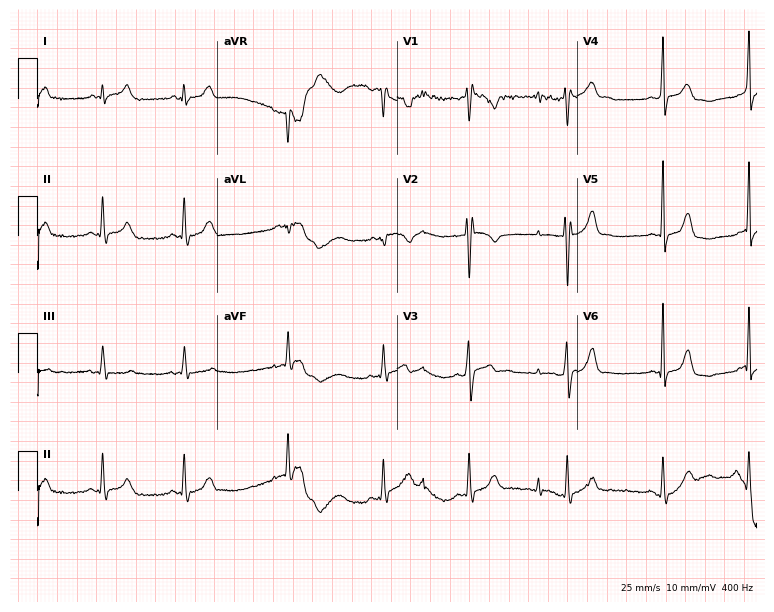
12-lead ECG from a 17-year-old male. Screened for six findings — first-degree AV block, right bundle branch block, left bundle branch block, sinus bradycardia, atrial fibrillation, sinus tachycardia — none is recorded.